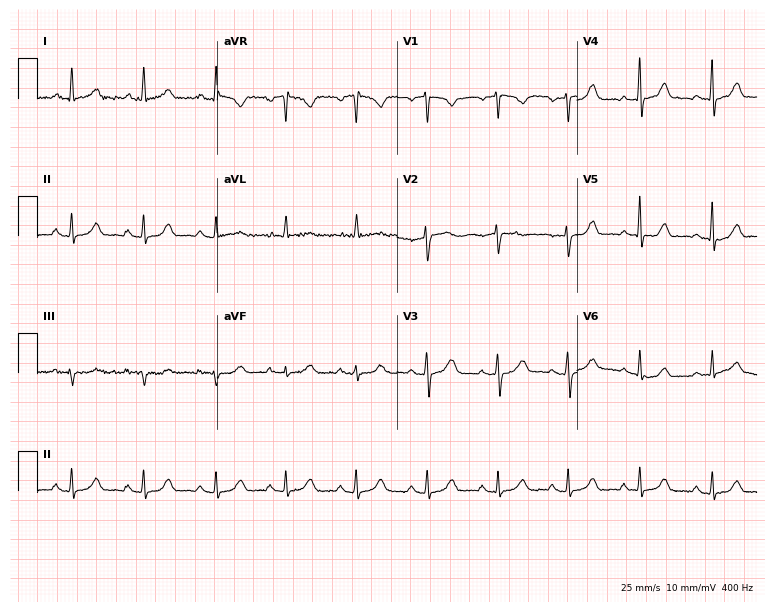
Standard 12-lead ECG recorded from a female patient, 48 years old. Read as a normal ECG.